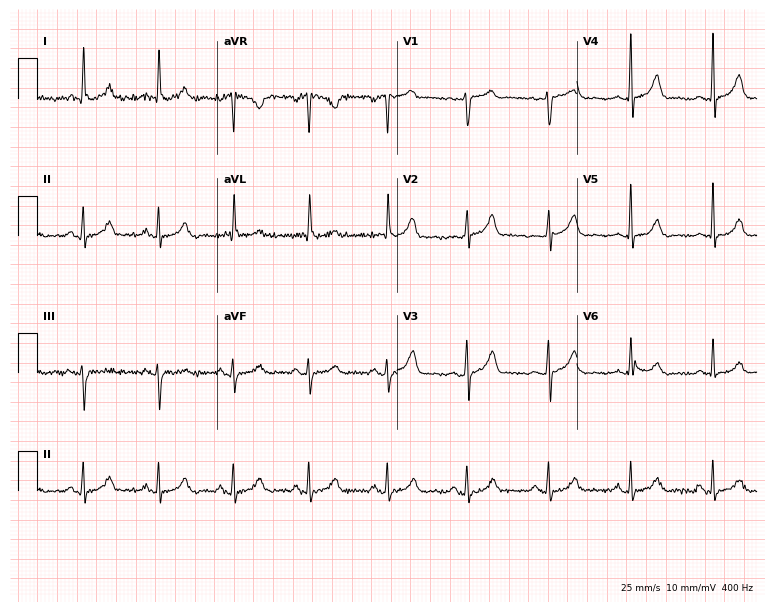
12-lead ECG from a female, 65 years old. Labelled as a normal ECG.